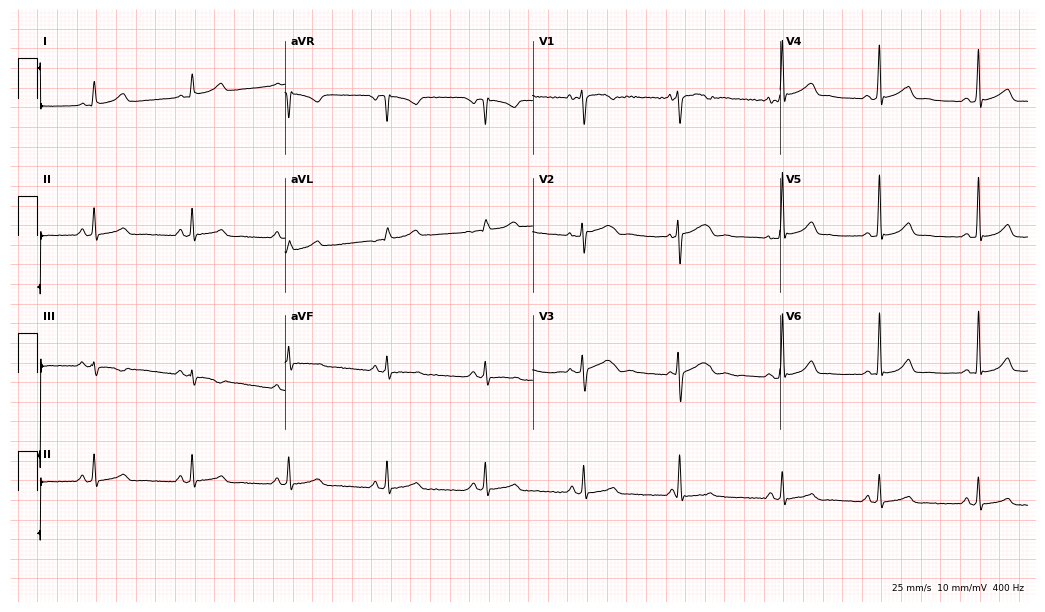
12-lead ECG (10.1-second recording at 400 Hz) from a woman, 33 years old. Labelled as a normal ECG.